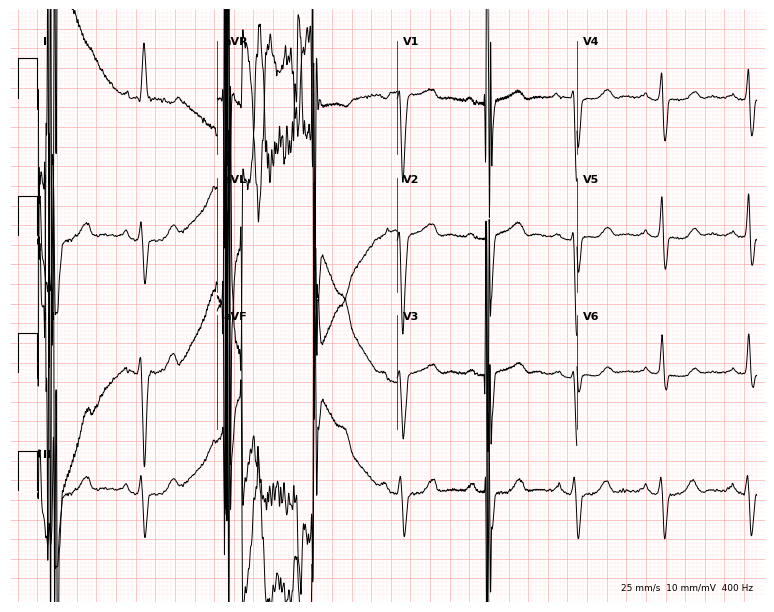
Resting 12-lead electrocardiogram. Patient: a woman, 65 years old. None of these six findings is recorded: first-degree AV block, right bundle branch block (RBBB), left bundle branch block (LBBB), sinus bradycardia, atrial fibrillation (AF), sinus tachycardia. Only these six findings were labelled.